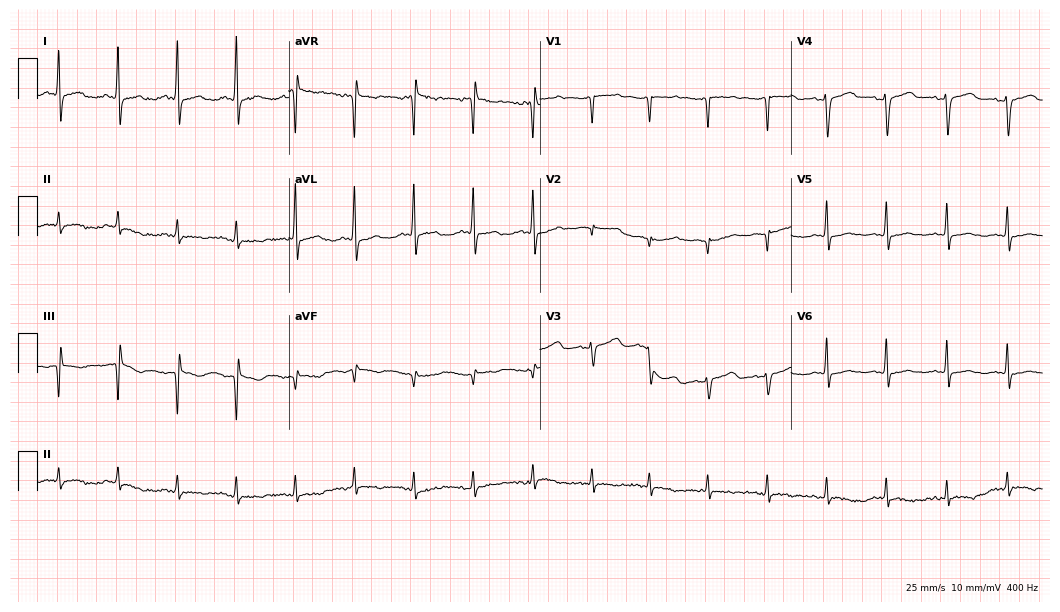
Resting 12-lead electrocardiogram (10.2-second recording at 400 Hz). Patient: a 78-year-old female. None of these six findings is recorded: first-degree AV block, right bundle branch block, left bundle branch block, sinus bradycardia, atrial fibrillation, sinus tachycardia. Other findings, if any, are not listed.